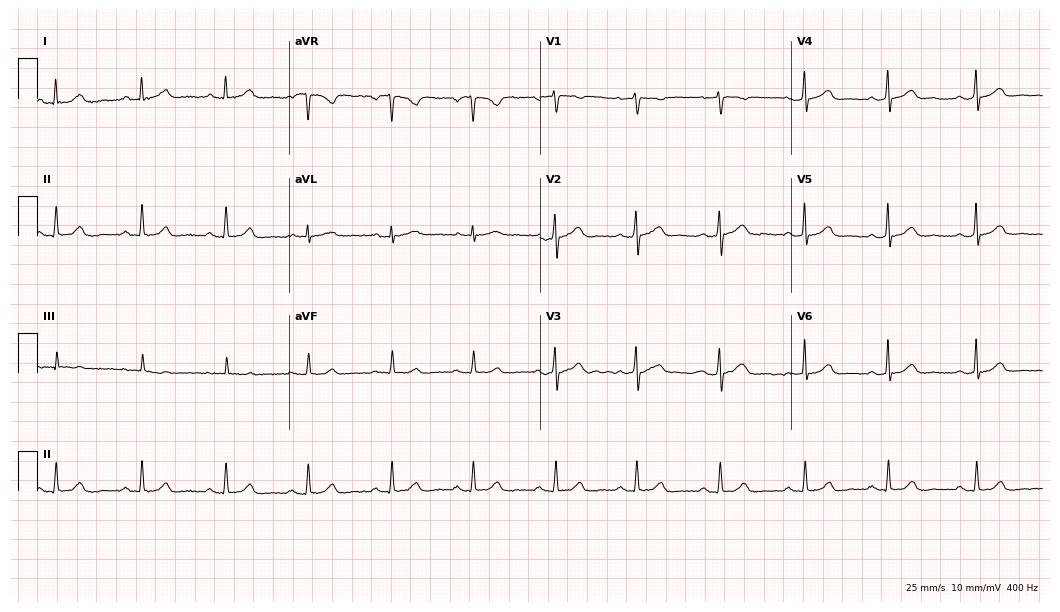
ECG (10.2-second recording at 400 Hz) — a 48-year-old female. Labelled as a normal ECG.